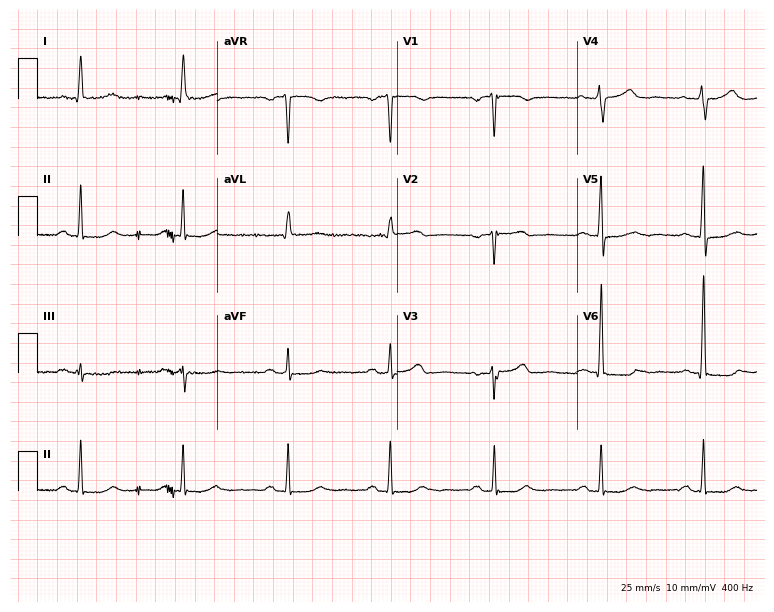
Resting 12-lead electrocardiogram. Patient: an 83-year-old woman. Read as a normal ECG.